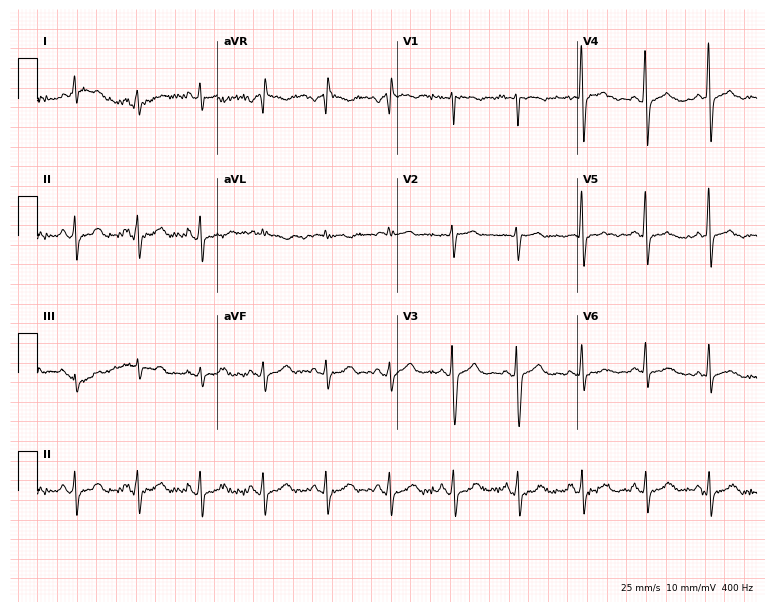
Resting 12-lead electrocardiogram (7.3-second recording at 400 Hz). Patient: a 61-year-old woman. None of these six findings is recorded: first-degree AV block, right bundle branch block, left bundle branch block, sinus bradycardia, atrial fibrillation, sinus tachycardia.